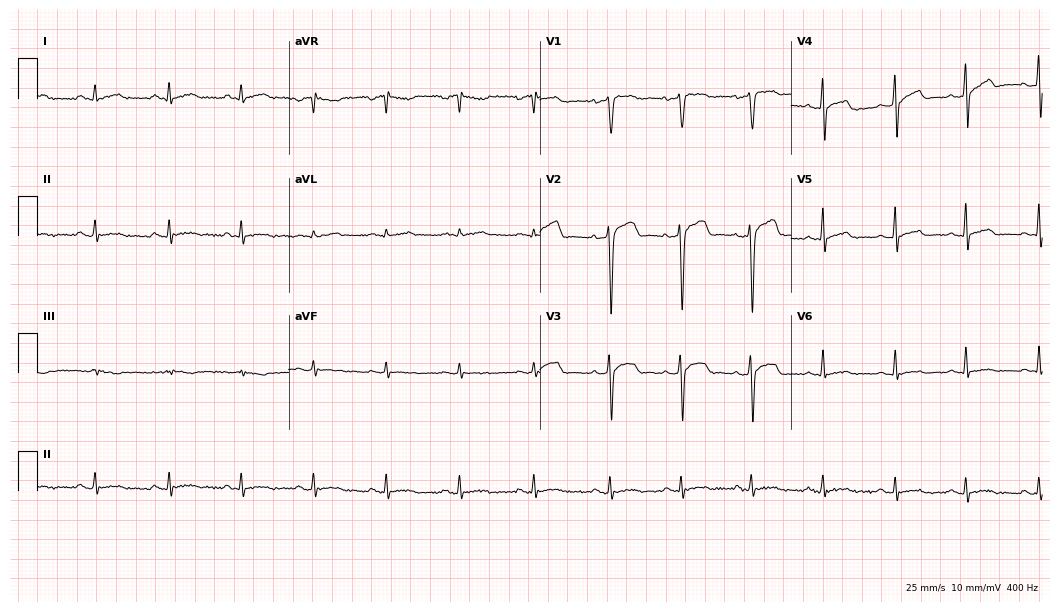
Resting 12-lead electrocardiogram. Patient: a 30-year-old male. Read as a normal ECG.